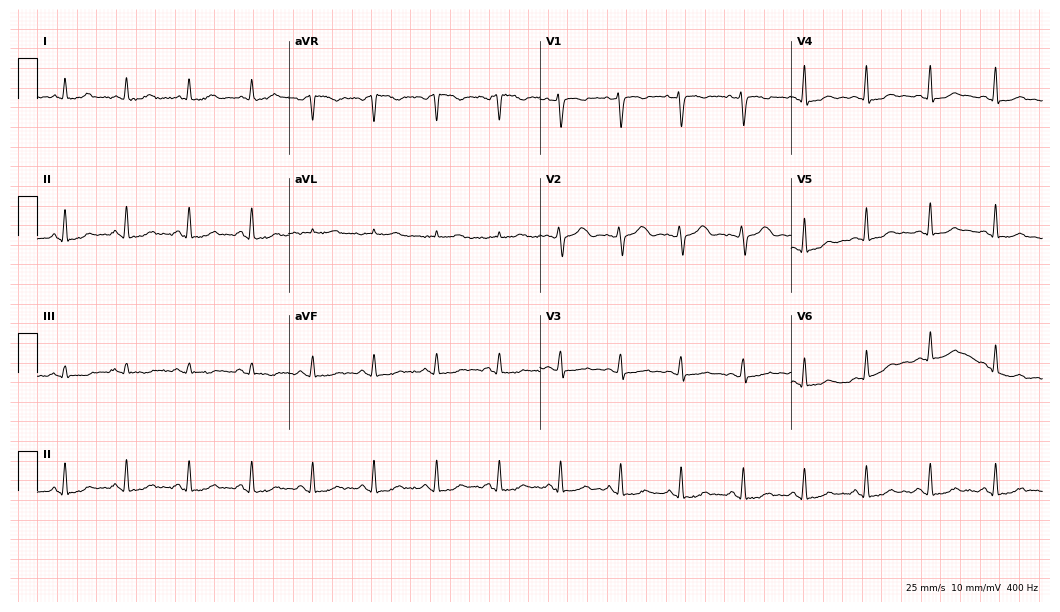
ECG — a woman, 41 years old. Screened for six findings — first-degree AV block, right bundle branch block (RBBB), left bundle branch block (LBBB), sinus bradycardia, atrial fibrillation (AF), sinus tachycardia — none is recorded.